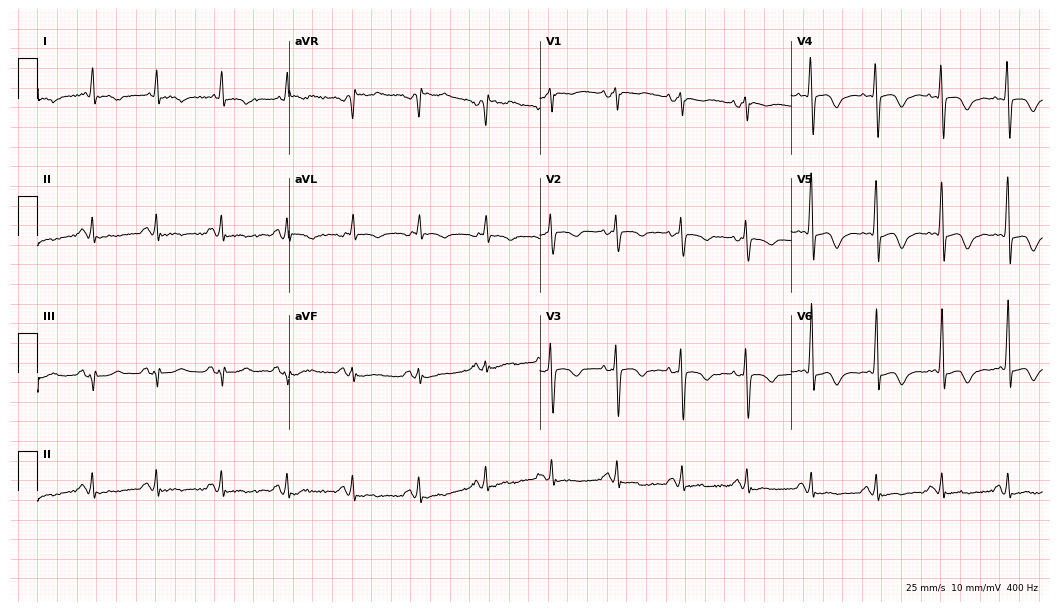
12-lead ECG (10.2-second recording at 400 Hz) from a 68-year-old female. Screened for six findings — first-degree AV block, right bundle branch block, left bundle branch block, sinus bradycardia, atrial fibrillation, sinus tachycardia — none is recorded.